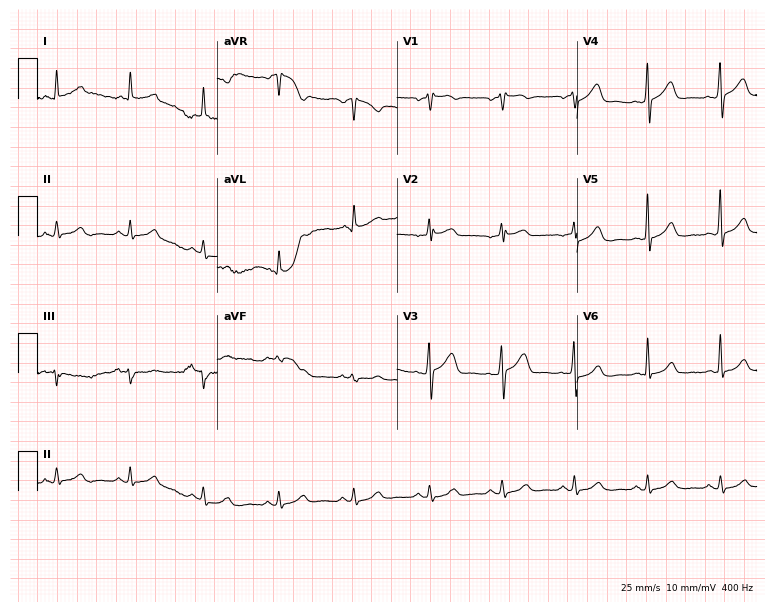
12-lead ECG from a man, 50 years old. No first-degree AV block, right bundle branch block, left bundle branch block, sinus bradycardia, atrial fibrillation or sinus tachycardia recorded for this tracing. Findings outside these six are not listed.